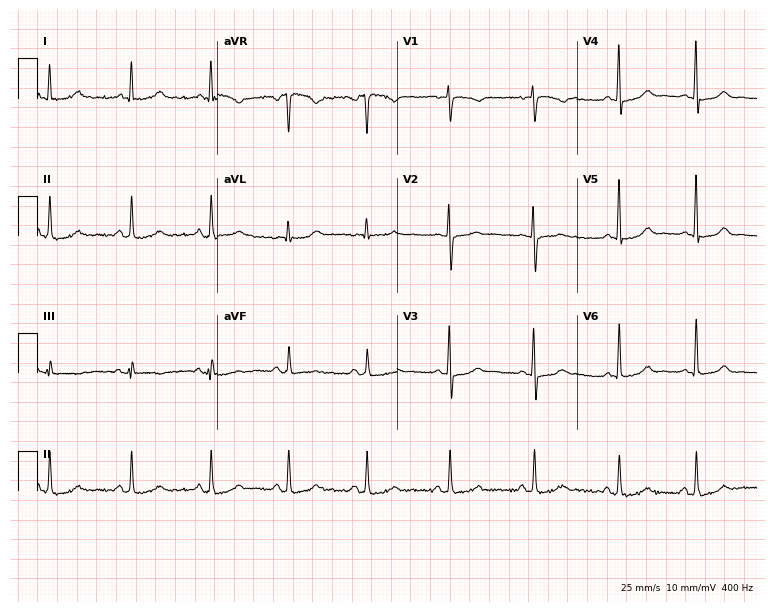
12-lead ECG from a 51-year-old female patient (7.3-second recording at 400 Hz). Recorded interpretation: within normal limits.